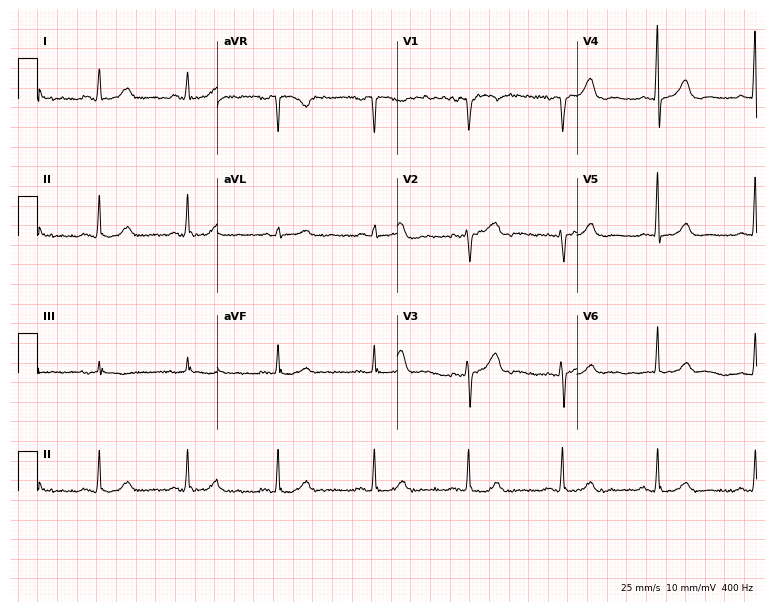
Standard 12-lead ECG recorded from a woman, 45 years old (7.3-second recording at 400 Hz). None of these six findings is recorded: first-degree AV block, right bundle branch block, left bundle branch block, sinus bradycardia, atrial fibrillation, sinus tachycardia.